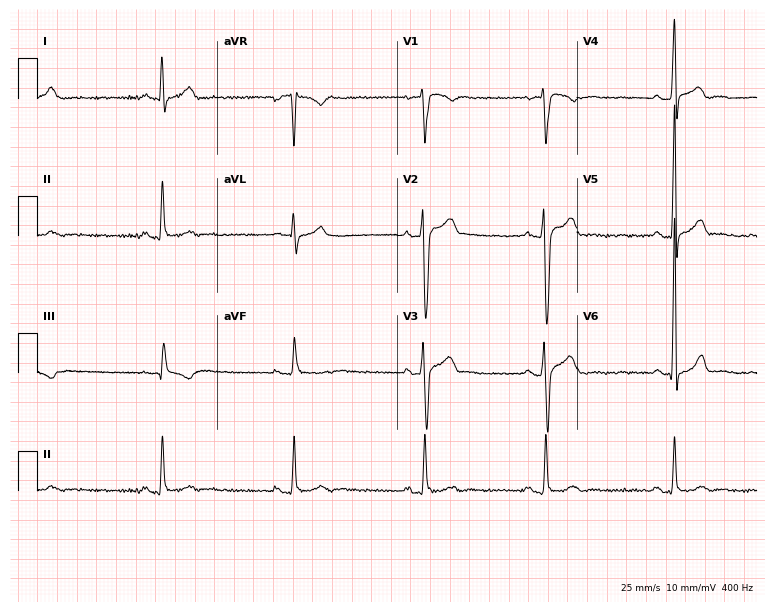
Resting 12-lead electrocardiogram. Patient: a man, 37 years old. The tracing shows sinus bradycardia (a sinus rate of 50 beats per minute or less).